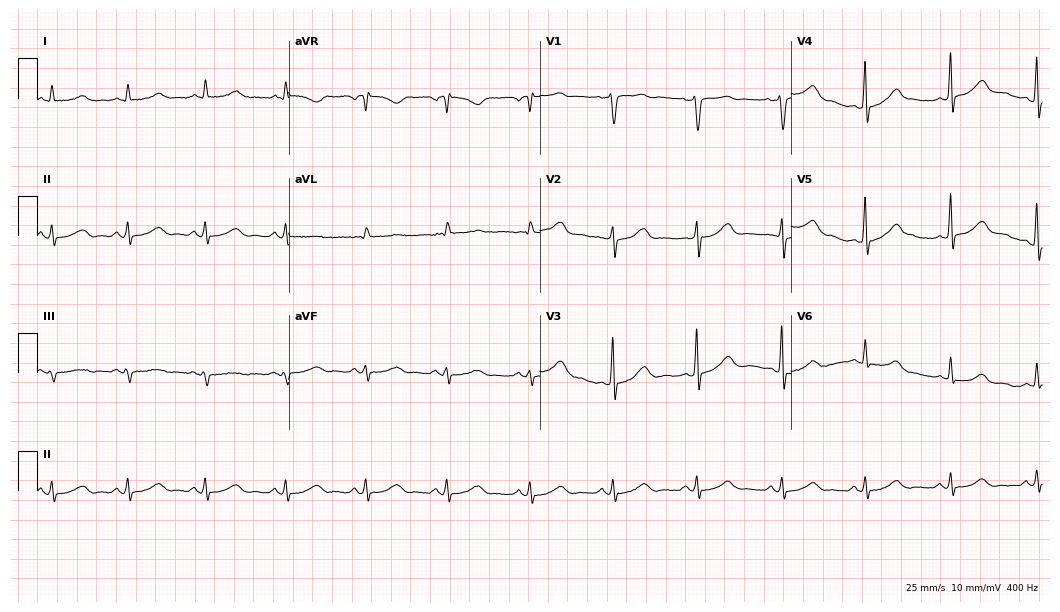
Resting 12-lead electrocardiogram. Patient: a man, 65 years old. Read as a normal ECG.